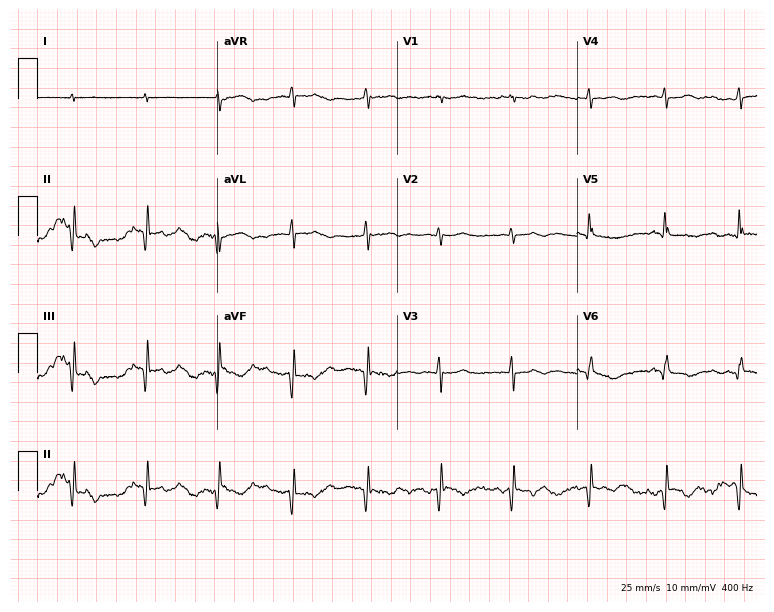
Standard 12-lead ECG recorded from a female, 69 years old. None of these six findings is recorded: first-degree AV block, right bundle branch block (RBBB), left bundle branch block (LBBB), sinus bradycardia, atrial fibrillation (AF), sinus tachycardia.